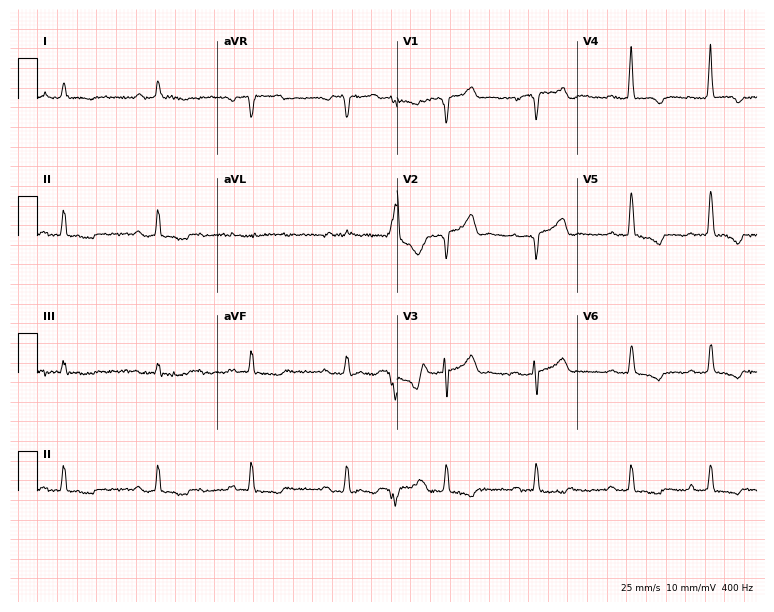
ECG — a male patient, 67 years old. Findings include first-degree AV block.